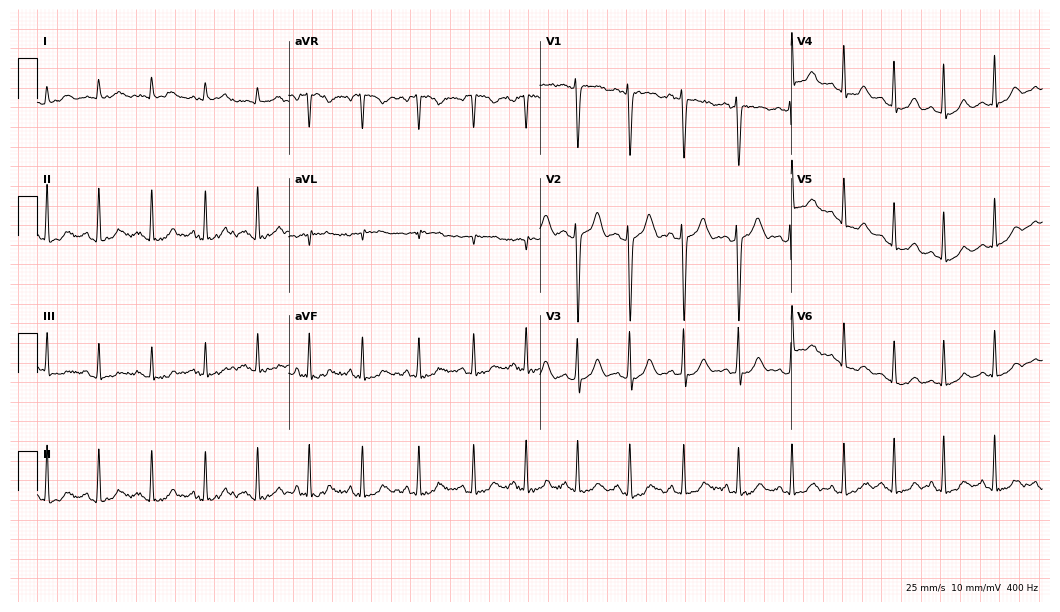
Standard 12-lead ECG recorded from a 21-year-old female (10.2-second recording at 400 Hz). None of these six findings is recorded: first-degree AV block, right bundle branch block, left bundle branch block, sinus bradycardia, atrial fibrillation, sinus tachycardia.